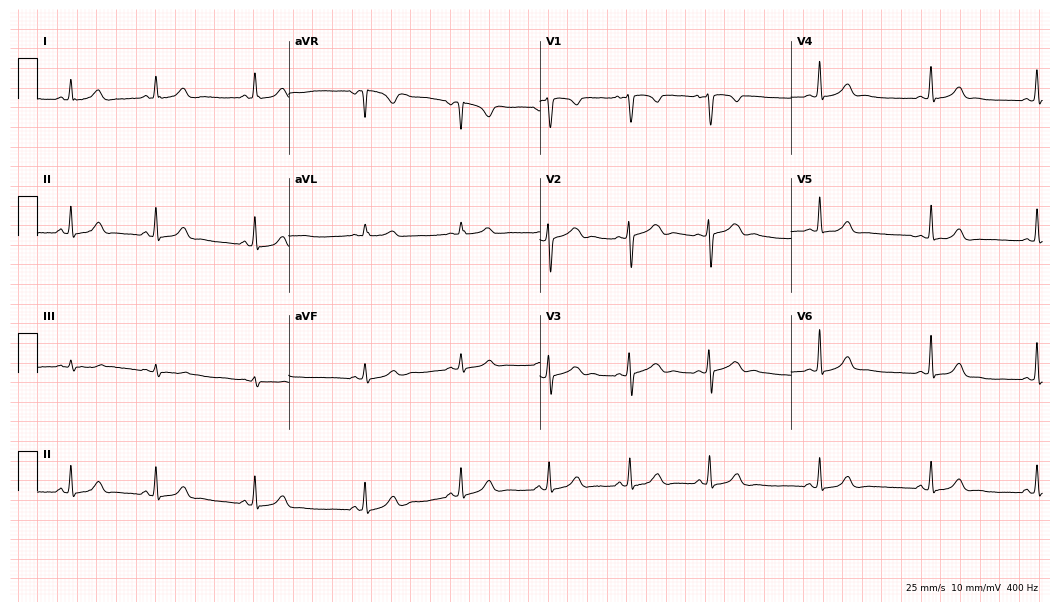
Electrocardiogram (10.2-second recording at 400 Hz), a female, 34 years old. Overall reading on record: normal ECG.